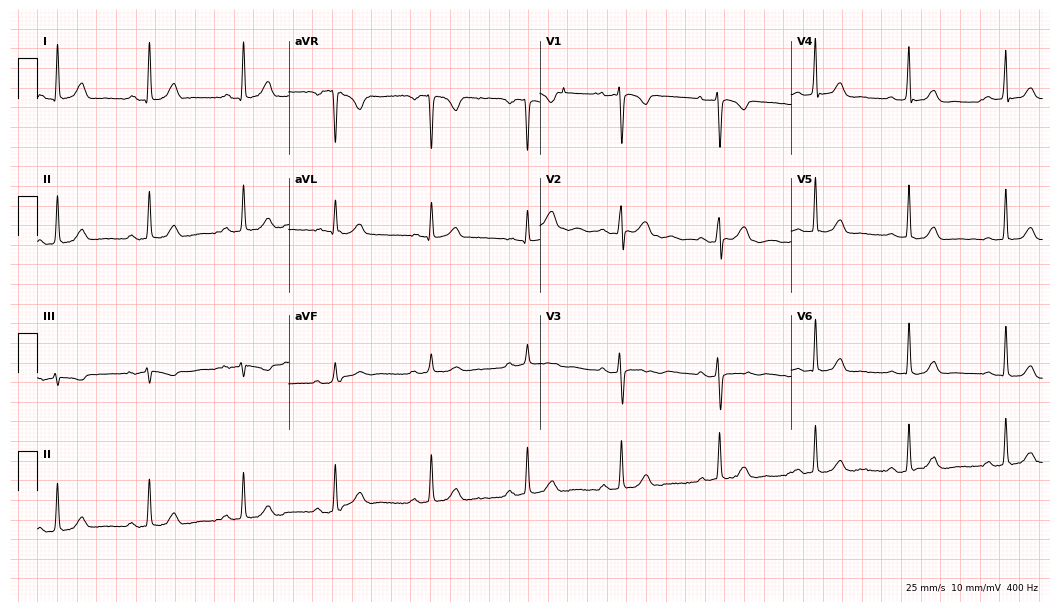
12-lead ECG from a 25-year-old female patient (10.2-second recording at 400 Hz). No first-degree AV block, right bundle branch block, left bundle branch block, sinus bradycardia, atrial fibrillation or sinus tachycardia recorded for this tracing. Only these six findings were labelled.